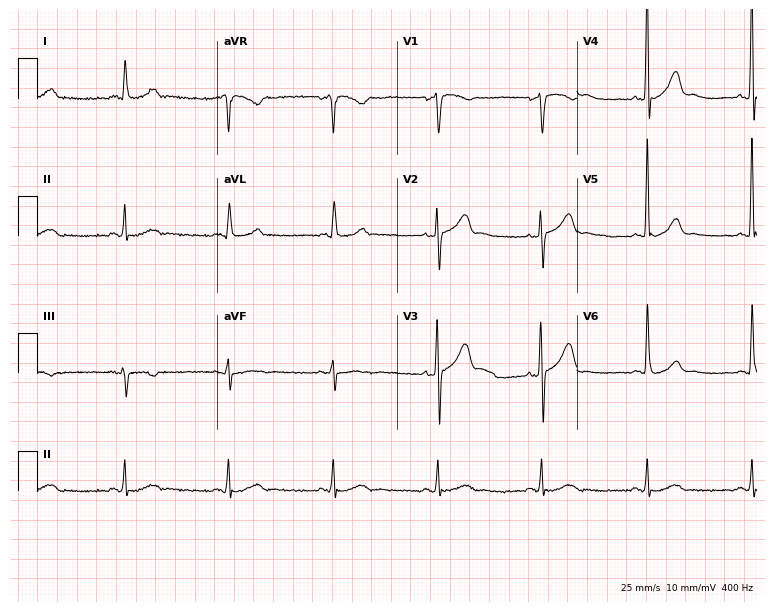
Resting 12-lead electrocardiogram. Patient: a 60-year-old male. Read as a normal ECG.